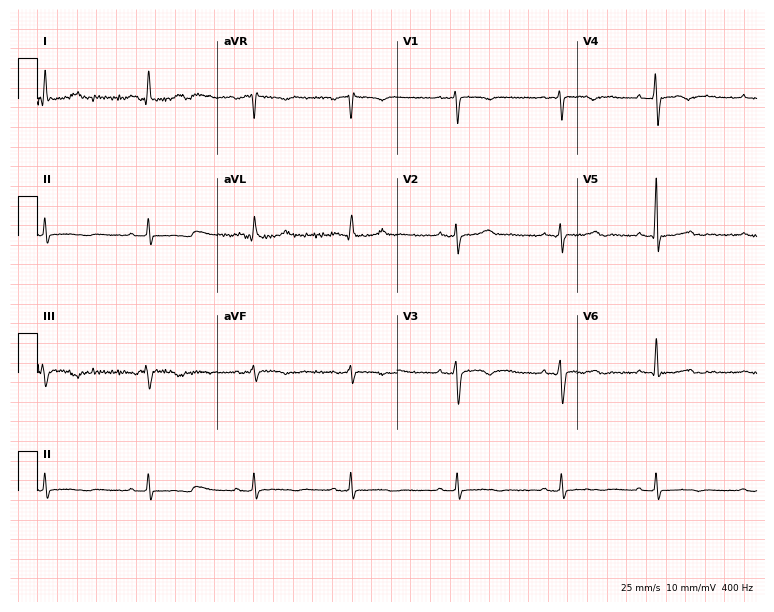
Standard 12-lead ECG recorded from a 29-year-old female. None of these six findings is recorded: first-degree AV block, right bundle branch block, left bundle branch block, sinus bradycardia, atrial fibrillation, sinus tachycardia. Only these six findings were labelled.